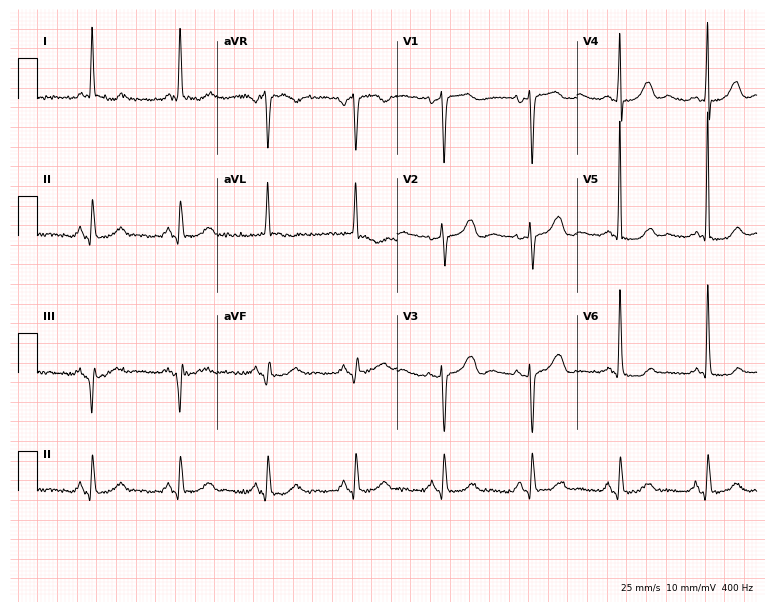
ECG (7.3-second recording at 400 Hz) — a female patient, 81 years old. Screened for six findings — first-degree AV block, right bundle branch block, left bundle branch block, sinus bradycardia, atrial fibrillation, sinus tachycardia — none is recorded. Other findings, if any, are not listed.